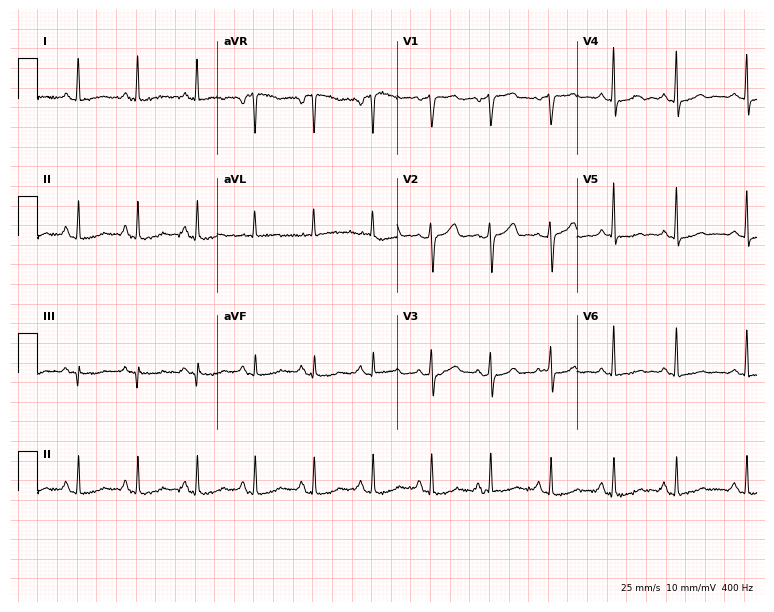
Electrocardiogram, a woman, 65 years old. Of the six screened findings (first-degree AV block, right bundle branch block (RBBB), left bundle branch block (LBBB), sinus bradycardia, atrial fibrillation (AF), sinus tachycardia), none is recorded.